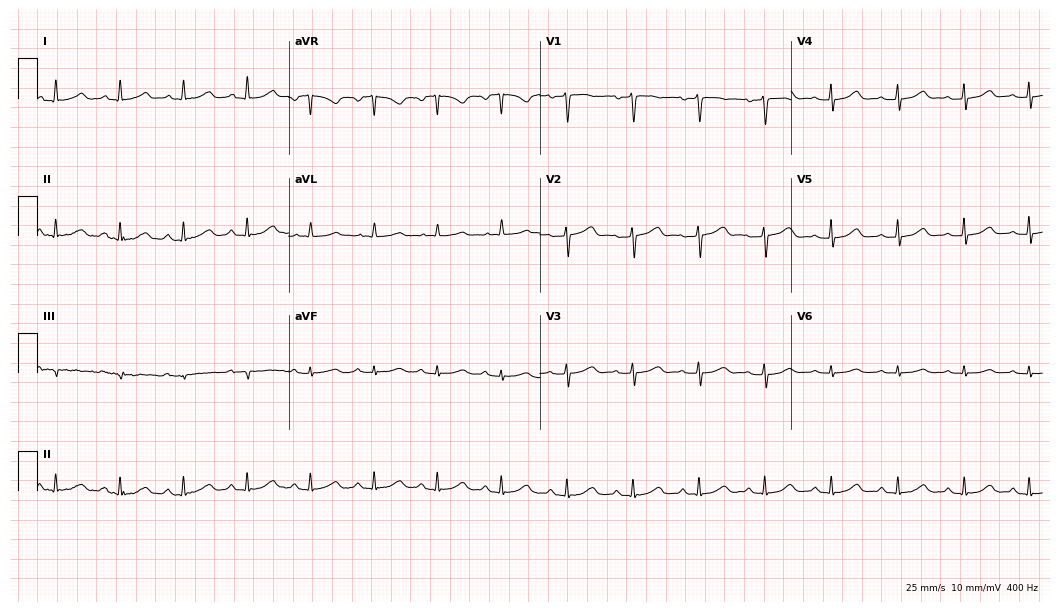
ECG (10.2-second recording at 400 Hz) — a 61-year-old female. Labelled as a normal ECG.